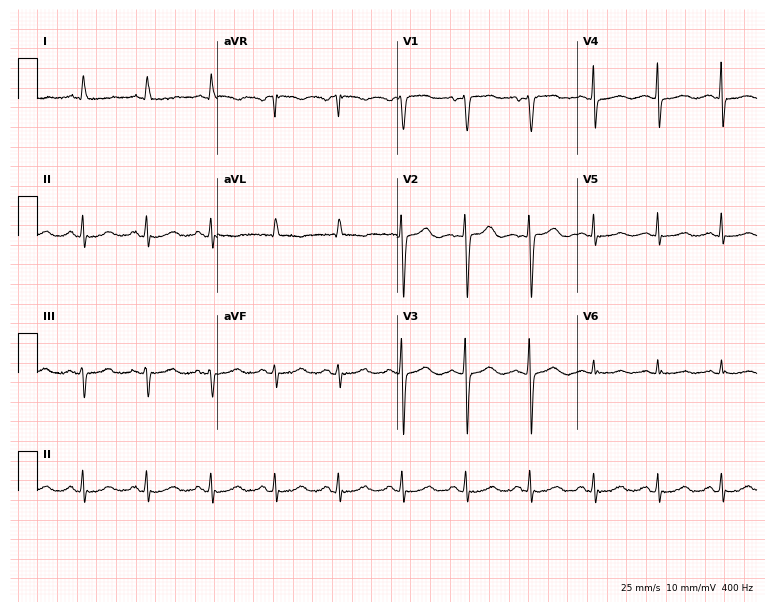
Resting 12-lead electrocardiogram. Patient: a 55-year-old female. Read as a normal ECG.